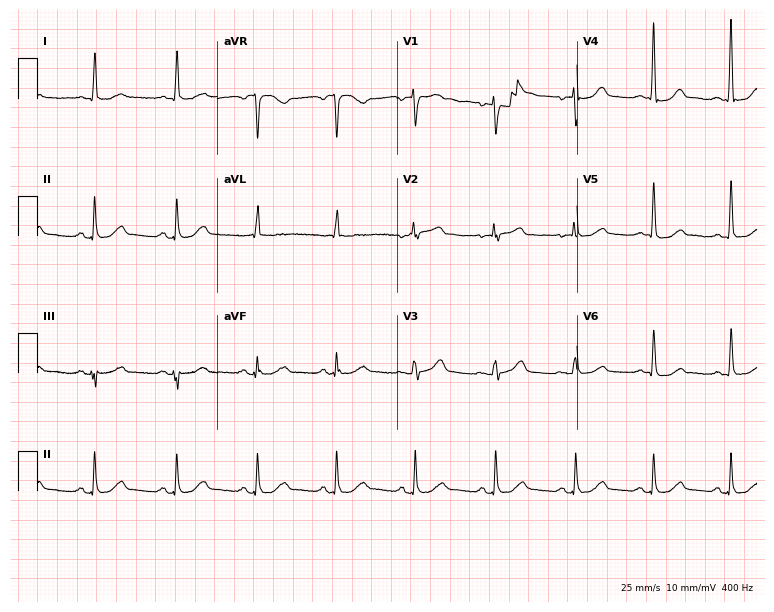
12-lead ECG from a female patient, 72 years old. No first-degree AV block, right bundle branch block, left bundle branch block, sinus bradycardia, atrial fibrillation or sinus tachycardia recorded for this tracing. Only these six findings were labelled.